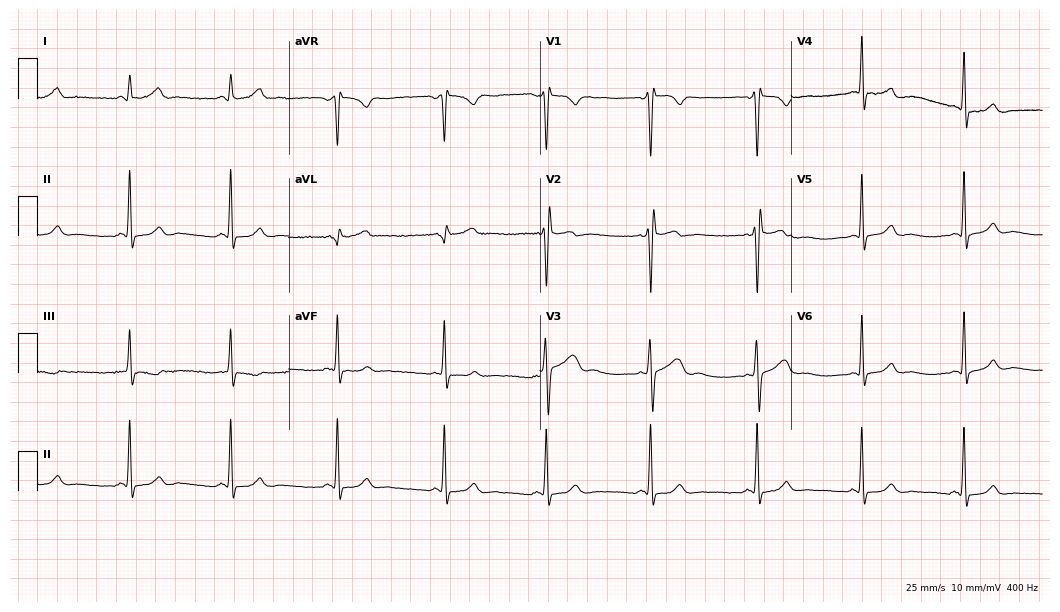
Resting 12-lead electrocardiogram (10.2-second recording at 400 Hz). Patient: a male, 24 years old. None of these six findings is recorded: first-degree AV block, right bundle branch block, left bundle branch block, sinus bradycardia, atrial fibrillation, sinus tachycardia. Findings outside these six are not listed.